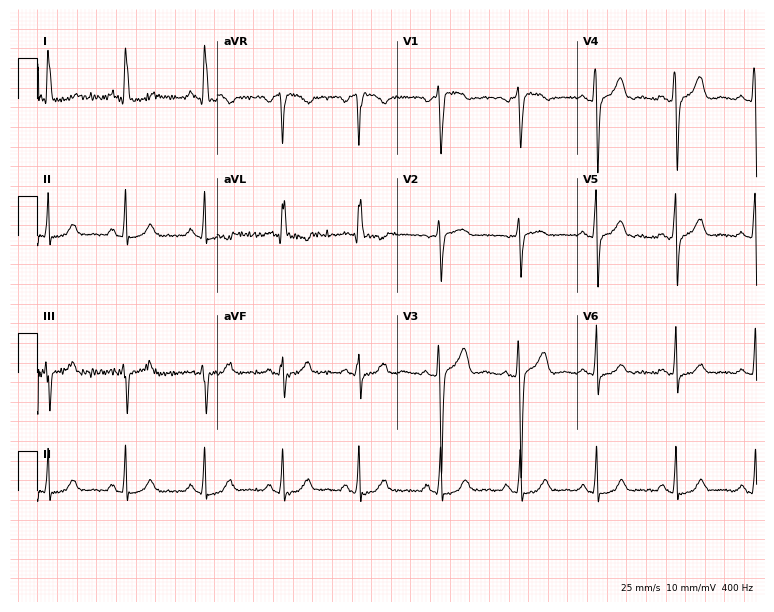
Standard 12-lead ECG recorded from a 45-year-old female (7.3-second recording at 400 Hz). None of these six findings is recorded: first-degree AV block, right bundle branch block, left bundle branch block, sinus bradycardia, atrial fibrillation, sinus tachycardia.